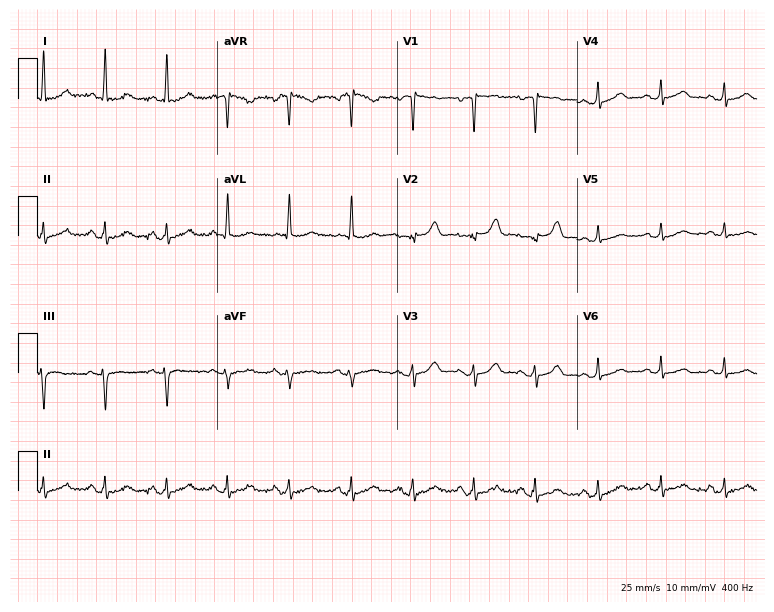
ECG (7.3-second recording at 400 Hz) — a 78-year-old woman. Labelled as a normal ECG.